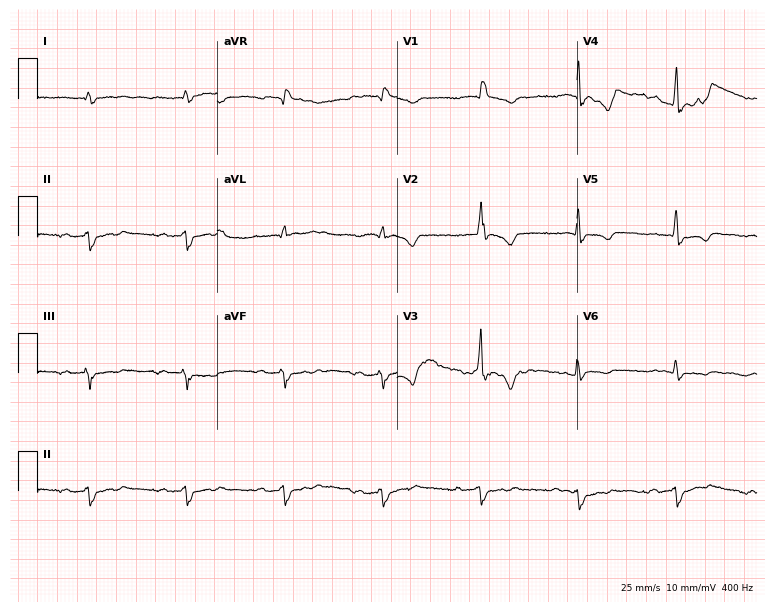
ECG (7.3-second recording at 400 Hz) — a male patient, 67 years old. Findings include first-degree AV block, right bundle branch block (RBBB).